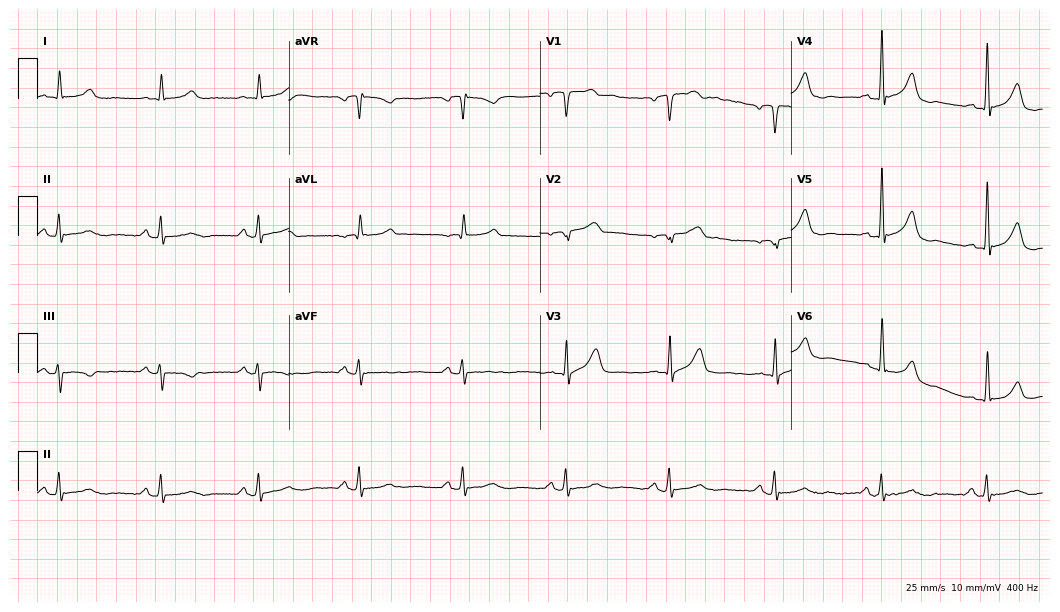
ECG (10.2-second recording at 400 Hz) — a 58-year-old woman. Screened for six findings — first-degree AV block, right bundle branch block, left bundle branch block, sinus bradycardia, atrial fibrillation, sinus tachycardia — none is recorded. Findings outside these six are not listed.